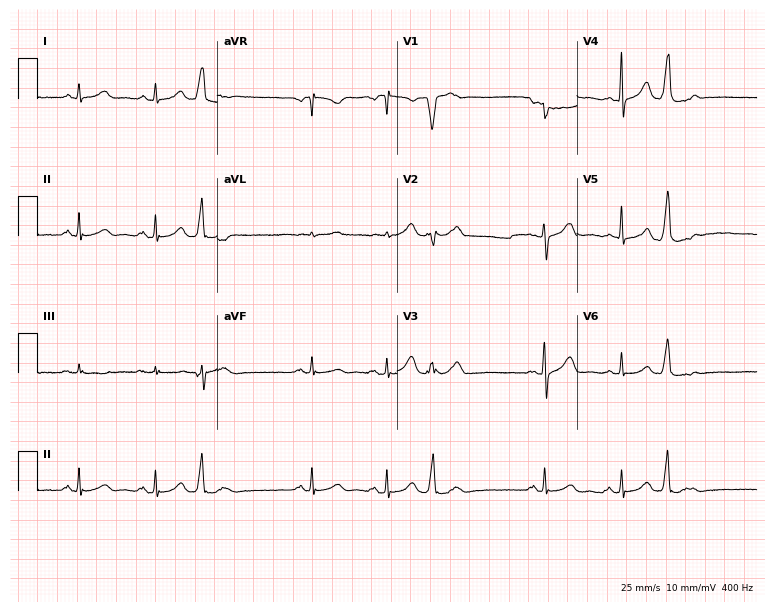
Resting 12-lead electrocardiogram (7.3-second recording at 400 Hz). Patient: a 66-year-old female. None of these six findings is recorded: first-degree AV block, right bundle branch block, left bundle branch block, sinus bradycardia, atrial fibrillation, sinus tachycardia.